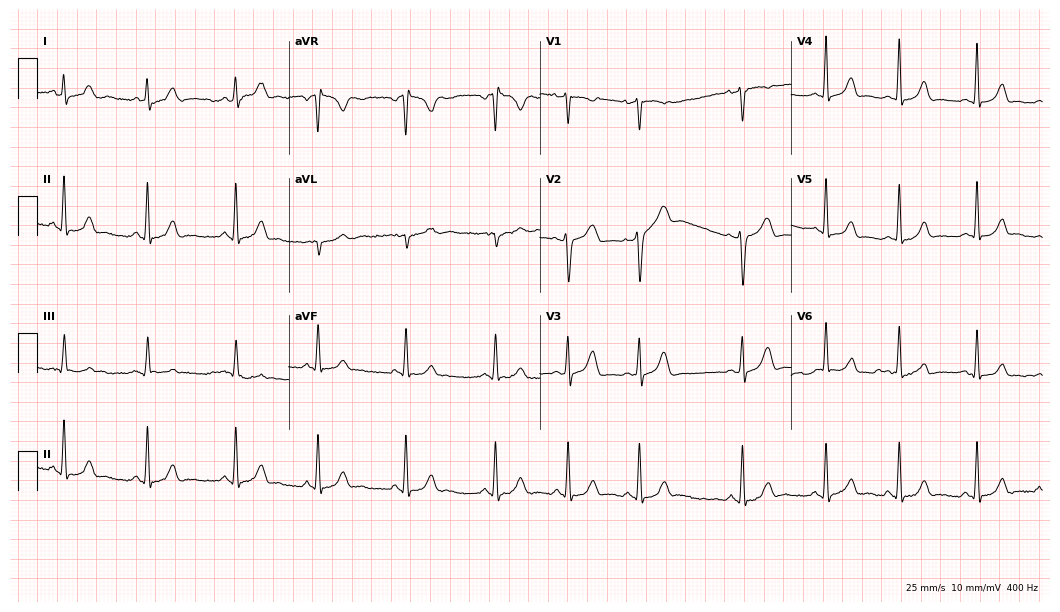
Electrocardiogram (10.2-second recording at 400 Hz), a 23-year-old female. Overall reading on record: normal ECG.